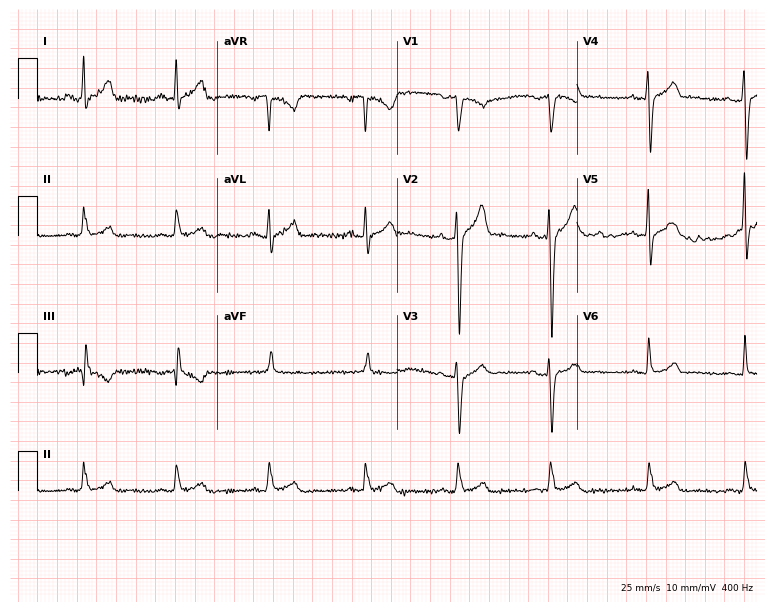
Standard 12-lead ECG recorded from a 46-year-old male. None of these six findings is recorded: first-degree AV block, right bundle branch block, left bundle branch block, sinus bradycardia, atrial fibrillation, sinus tachycardia.